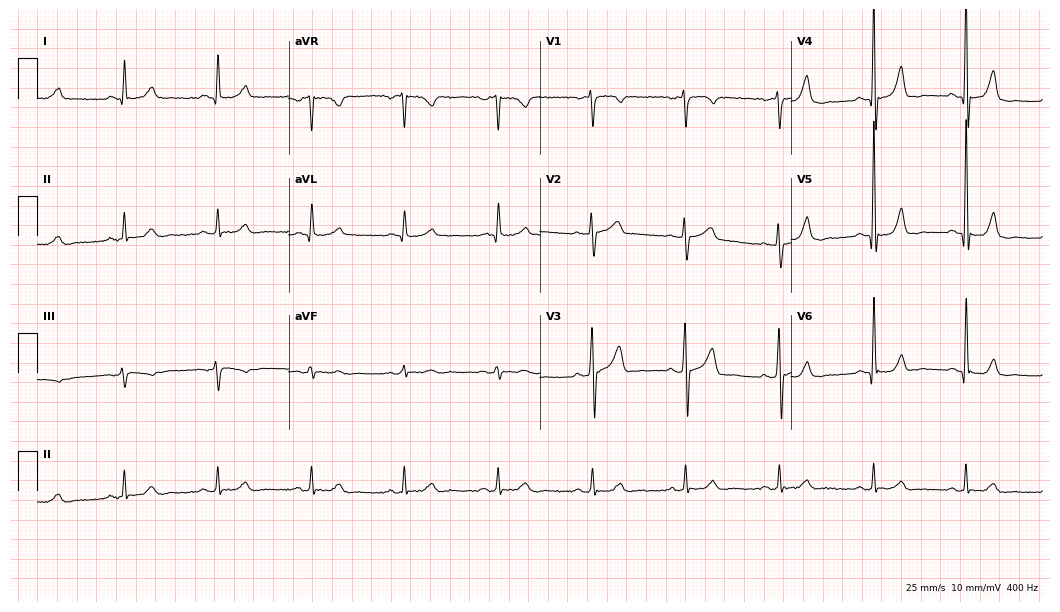
Electrocardiogram, a 49-year-old male patient. Overall reading on record: normal ECG.